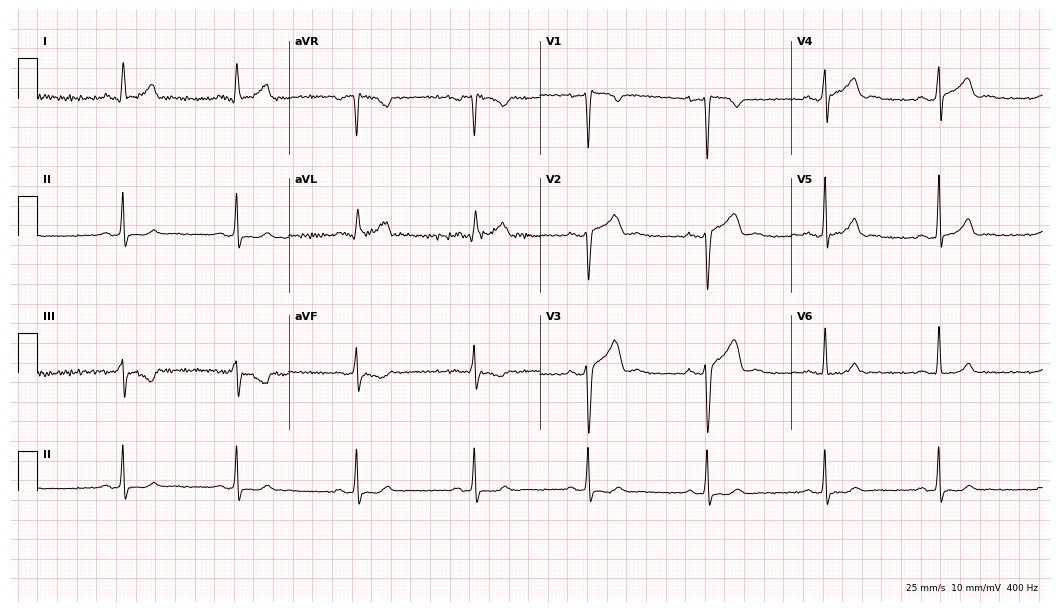
Electrocardiogram, a 40-year-old male patient. Of the six screened findings (first-degree AV block, right bundle branch block, left bundle branch block, sinus bradycardia, atrial fibrillation, sinus tachycardia), none is recorded.